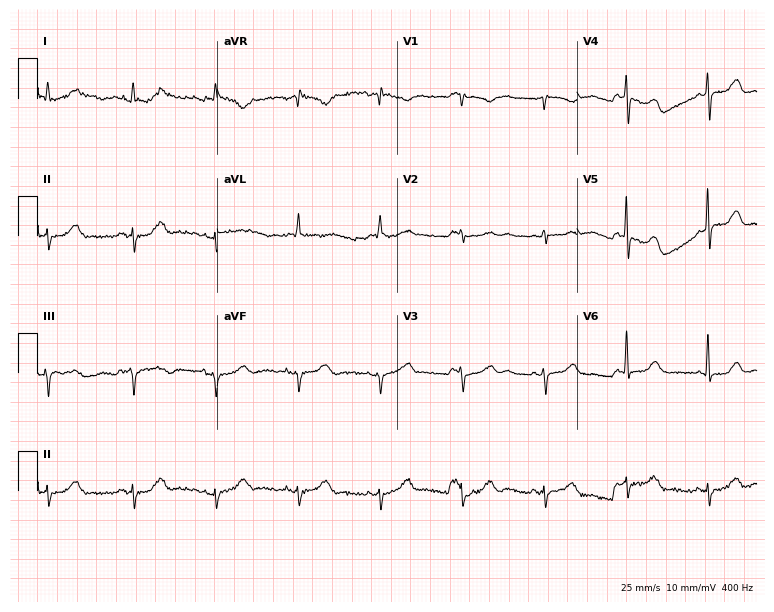
Standard 12-lead ECG recorded from a 47-year-old female (7.3-second recording at 400 Hz). None of these six findings is recorded: first-degree AV block, right bundle branch block, left bundle branch block, sinus bradycardia, atrial fibrillation, sinus tachycardia.